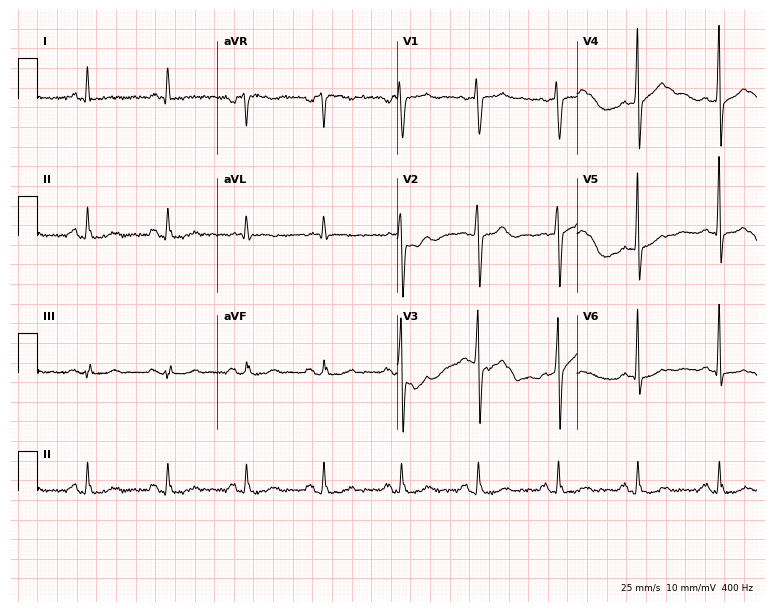
12-lead ECG (7.3-second recording at 400 Hz) from a male patient, 71 years old. Screened for six findings — first-degree AV block, right bundle branch block (RBBB), left bundle branch block (LBBB), sinus bradycardia, atrial fibrillation (AF), sinus tachycardia — none is recorded. Only these six findings were labelled.